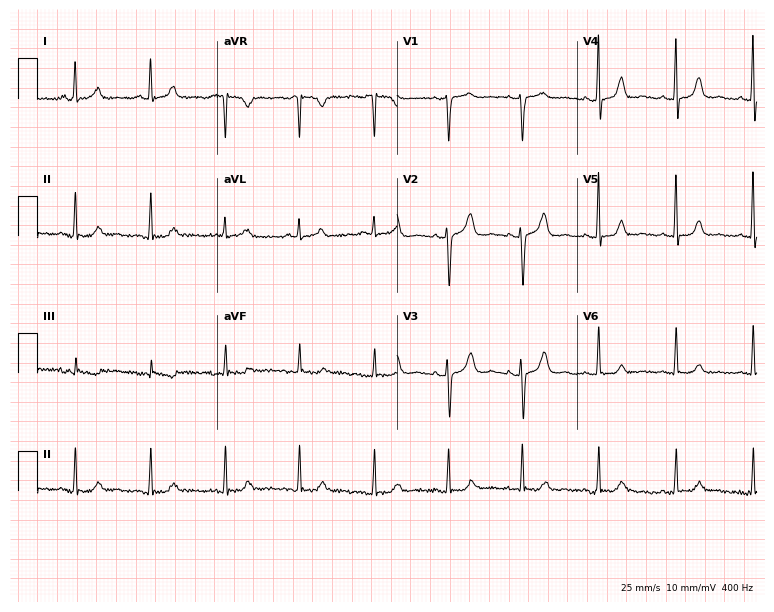
Resting 12-lead electrocardiogram (7.3-second recording at 400 Hz). Patient: a female, 55 years old. Read as a normal ECG.